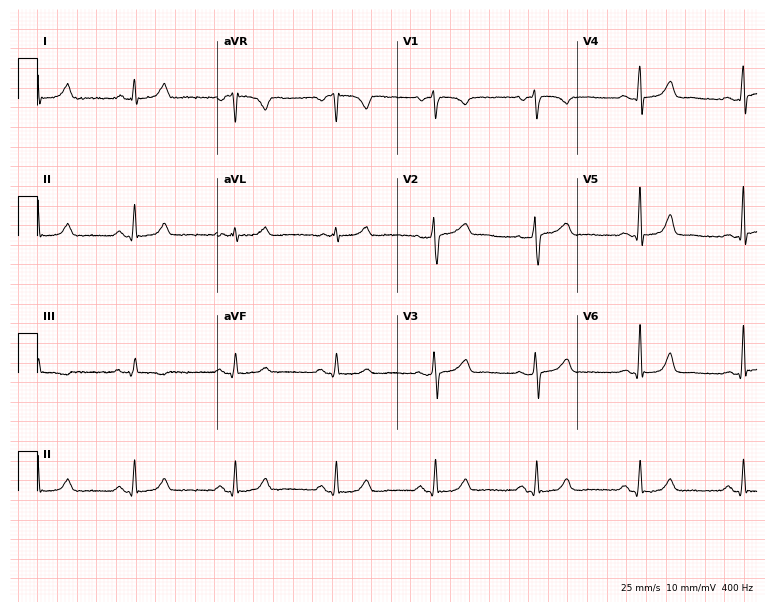
Electrocardiogram, a 52-year-old woman. Overall reading on record: normal ECG.